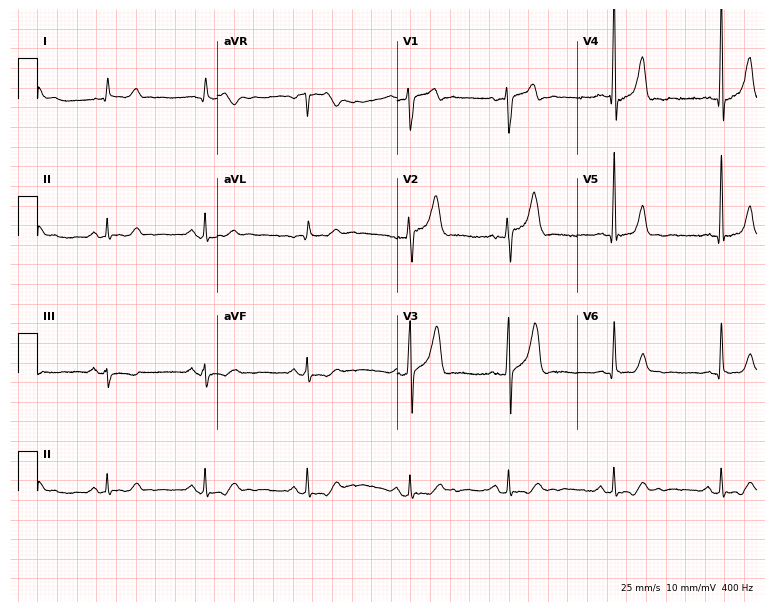
ECG — a 61-year-old male patient. Screened for six findings — first-degree AV block, right bundle branch block (RBBB), left bundle branch block (LBBB), sinus bradycardia, atrial fibrillation (AF), sinus tachycardia — none is recorded. Only these six findings were labelled.